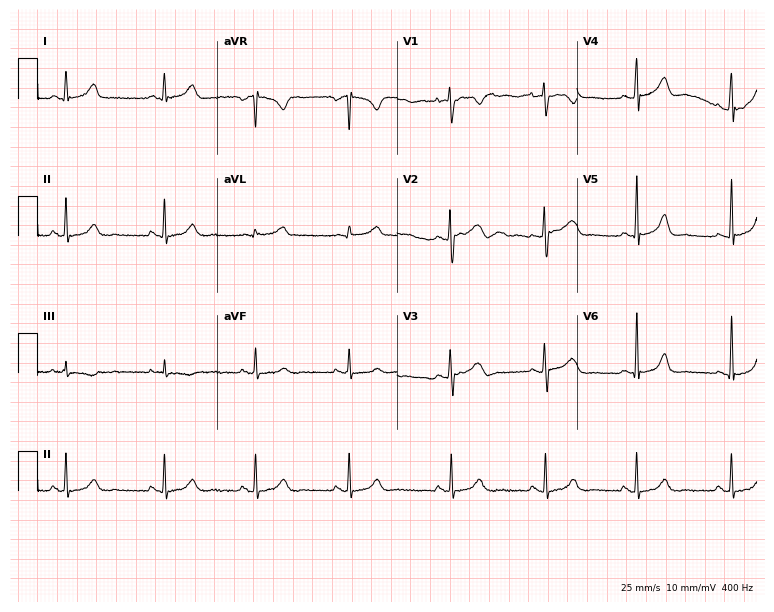
12-lead ECG from a 31-year-old woman. Recorded interpretation: within normal limits.